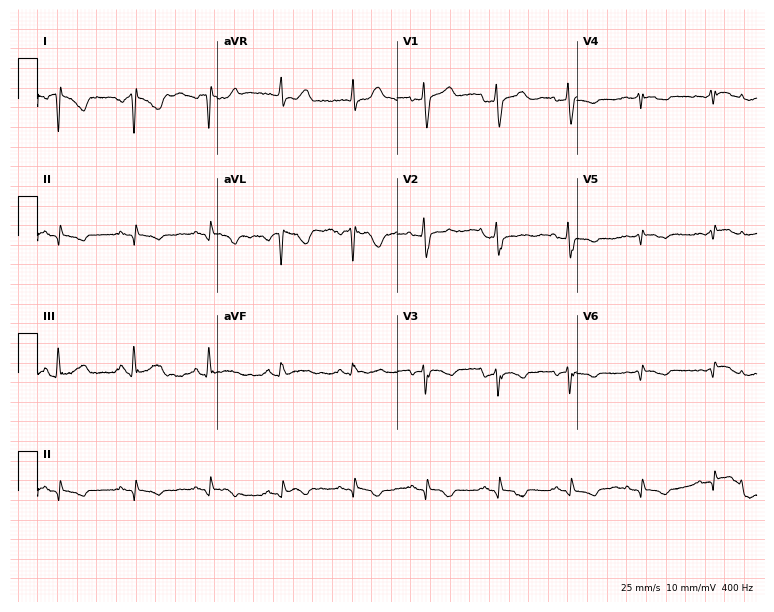
Standard 12-lead ECG recorded from a female patient, 65 years old (7.3-second recording at 400 Hz). None of these six findings is recorded: first-degree AV block, right bundle branch block, left bundle branch block, sinus bradycardia, atrial fibrillation, sinus tachycardia. Findings outside these six are not listed.